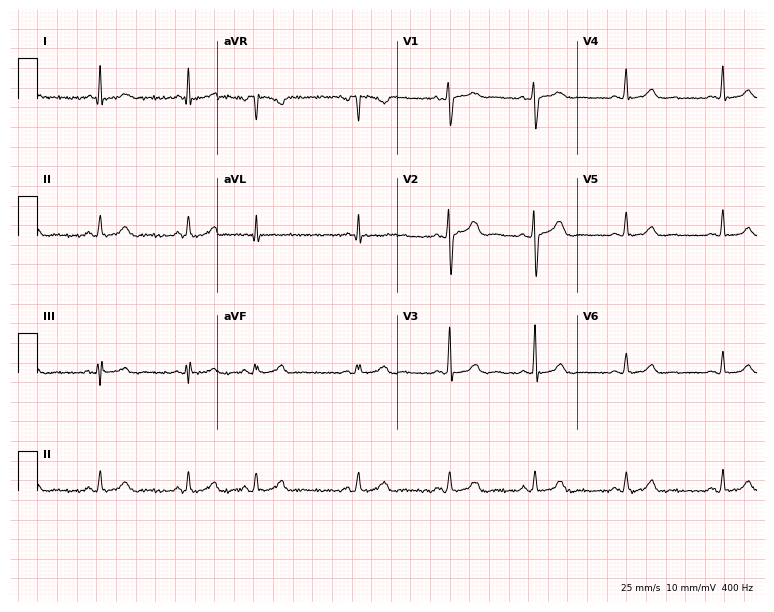
12-lead ECG from a man, 38 years old. Recorded interpretation: within normal limits.